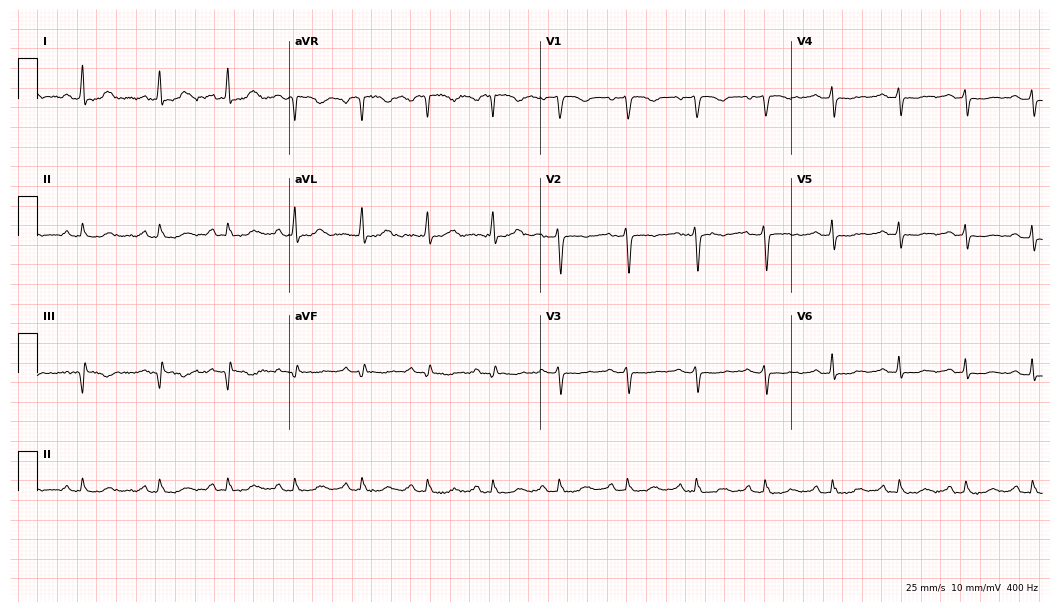
ECG (10.2-second recording at 400 Hz) — a 54-year-old female. Screened for six findings — first-degree AV block, right bundle branch block, left bundle branch block, sinus bradycardia, atrial fibrillation, sinus tachycardia — none is recorded.